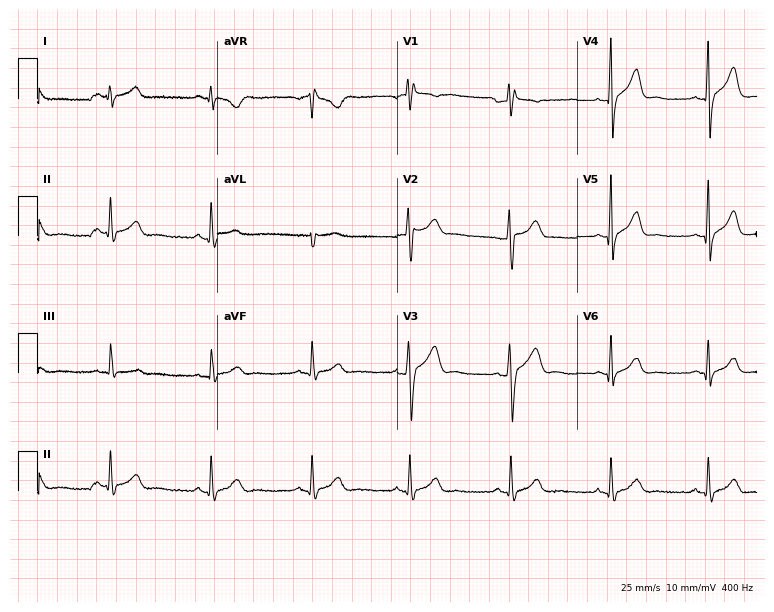
ECG — a 34-year-old man. Screened for six findings — first-degree AV block, right bundle branch block, left bundle branch block, sinus bradycardia, atrial fibrillation, sinus tachycardia — none is recorded. Findings outside these six are not listed.